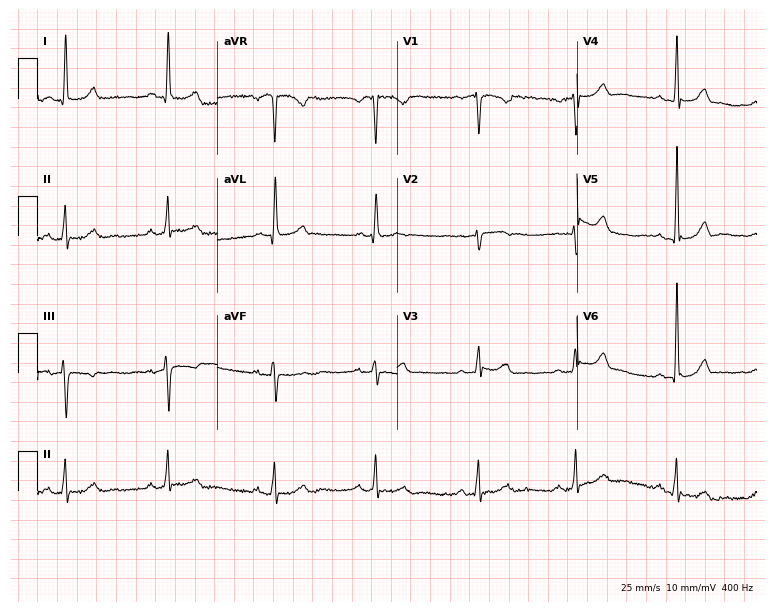
ECG — a female patient, 62 years old. Screened for six findings — first-degree AV block, right bundle branch block (RBBB), left bundle branch block (LBBB), sinus bradycardia, atrial fibrillation (AF), sinus tachycardia — none is recorded. Findings outside these six are not listed.